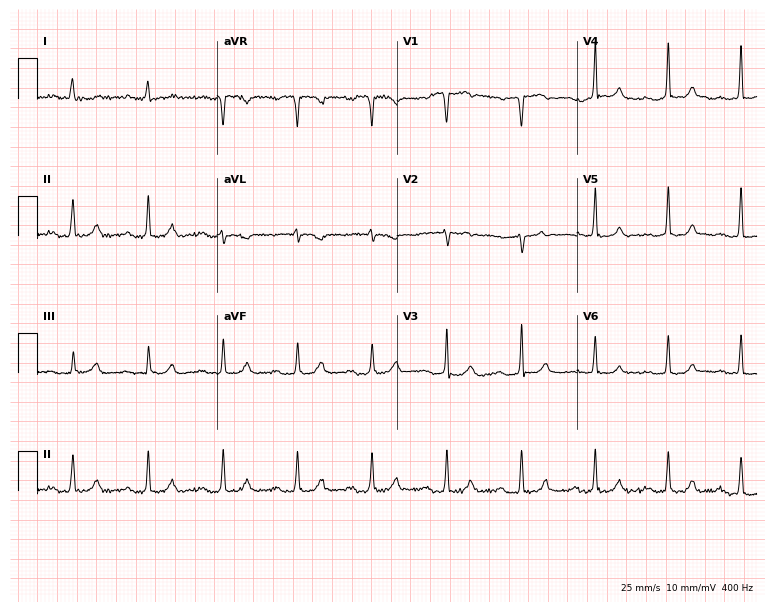
ECG — a male, 76 years old. Findings include first-degree AV block.